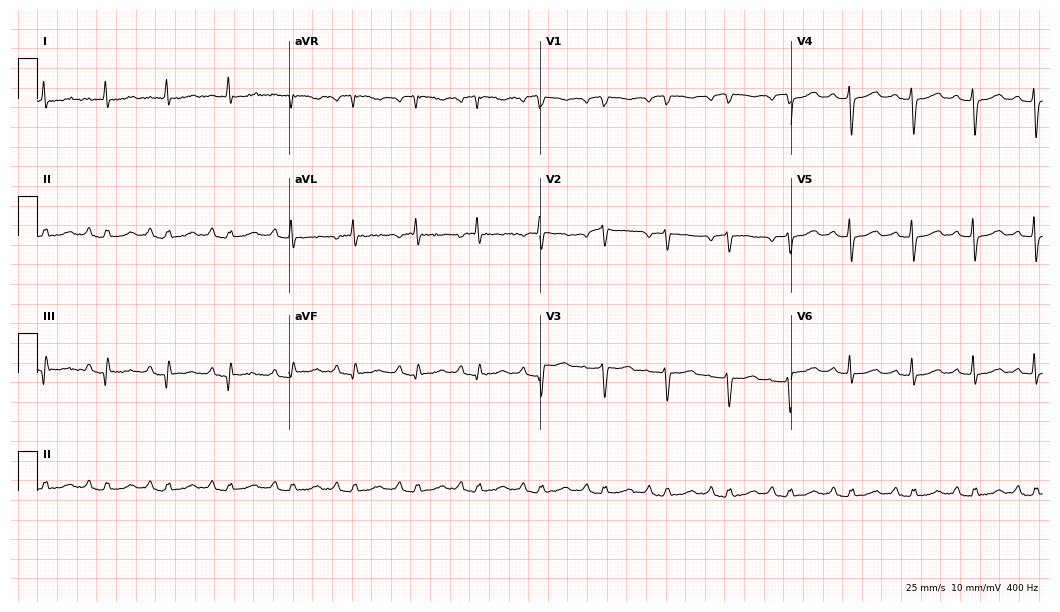
Resting 12-lead electrocardiogram (10.2-second recording at 400 Hz). Patient: a female, 69 years old. None of these six findings is recorded: first-degree AV block, right bundle branch block, left bundle branch block, sinus bradycardia, atrial fibrillation, sinus tachycardia.